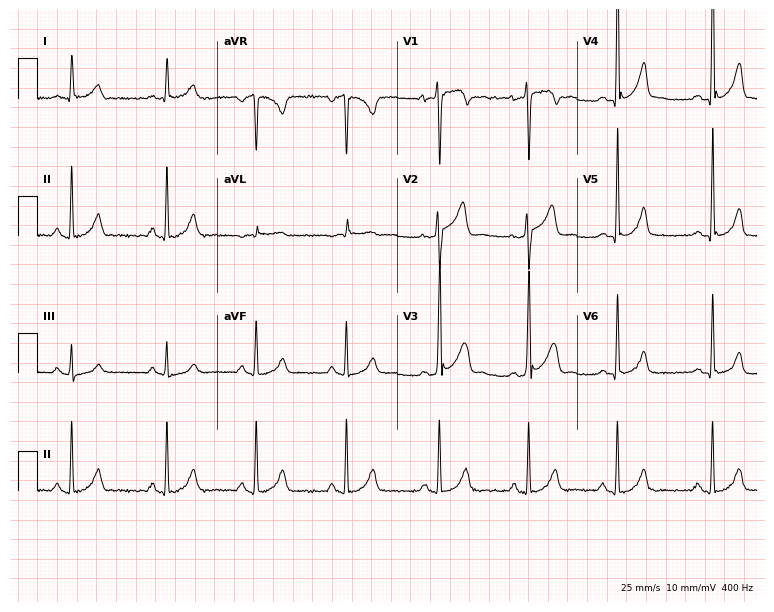
12-lead ECG (7.3-second recording at 400 Hz) from a 22-year-old male patient. Labelled as a normal ECG.